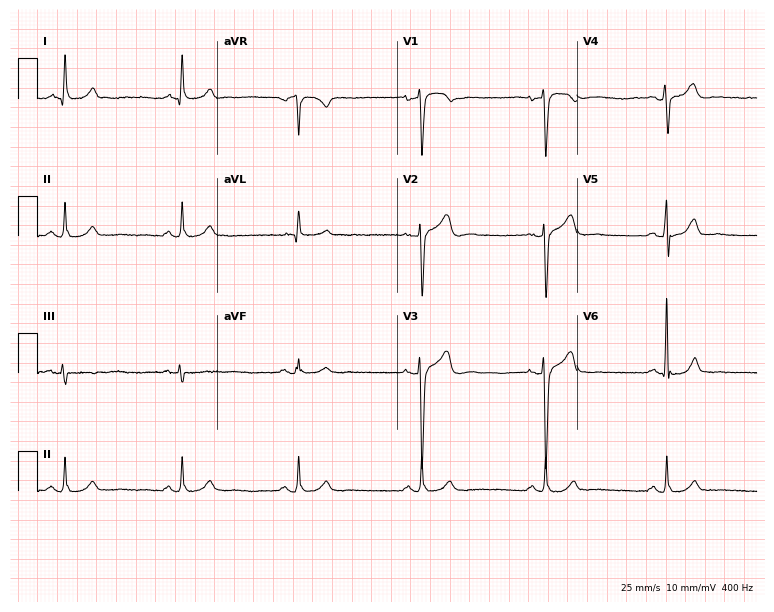
Electrocardiogram (7.3-second recording at 400 Hz), a 67-year-old man. Interpretation includes sinus bradycardia (a sinus rate of 50 beats per minute or less).